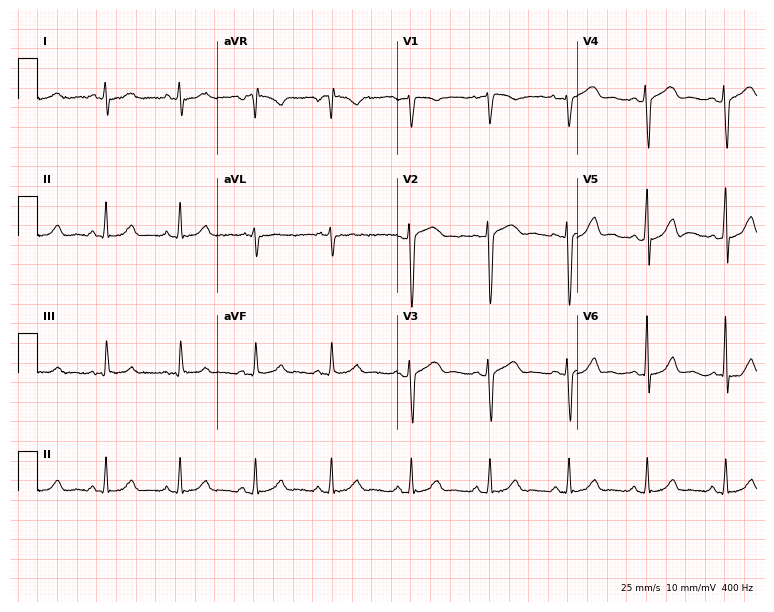
Electrocardiogram (7.3-second recording at 400 Hz), a woman, 23 years old. Of the six screened findings (first-degree AV block, right bundle branch block, left bundle branch block, sinus bradycardia, atrial fibrillation, sinus tachycardia), none is recorded.